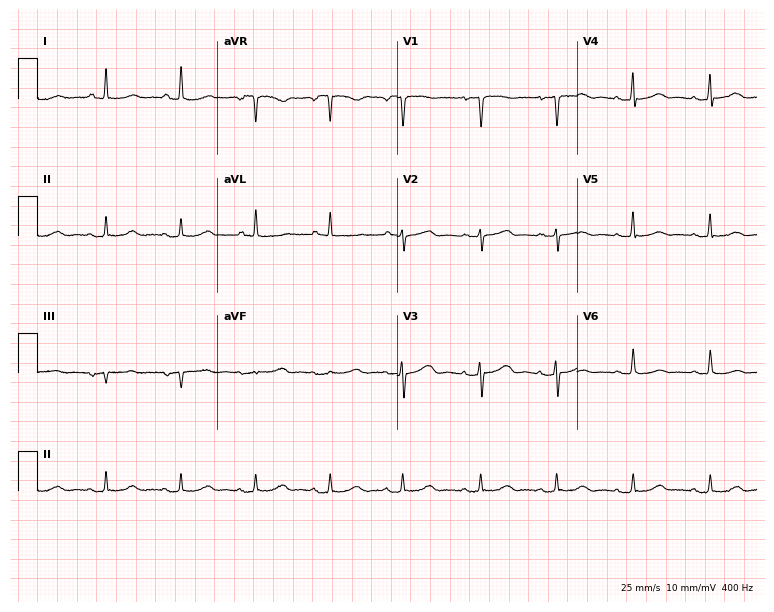
Resting 12-lead electrocardiogram. Patient: a female, 62 years old. Read as a normal ECG.